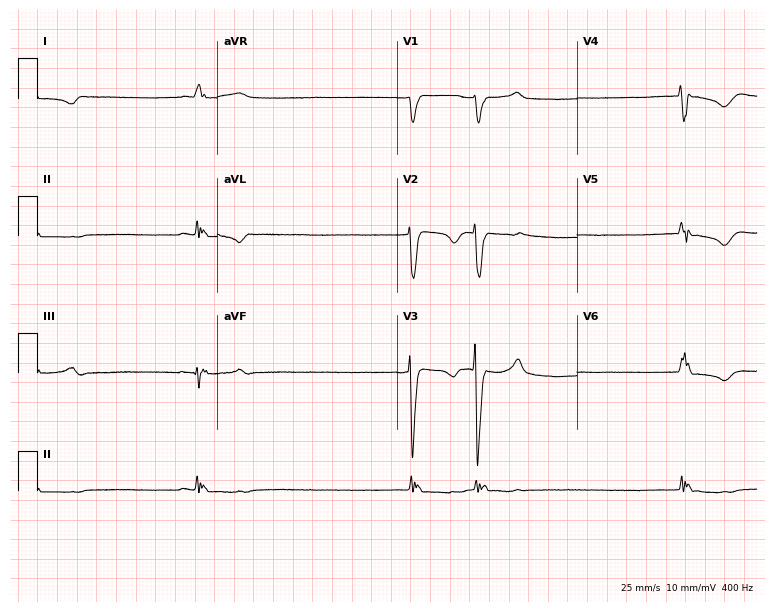
12-lead ECG (7.3-second recording at 400 Hz) from a 70-year-old female patient. Findings include left bundle branch block, atrial fibrillation.